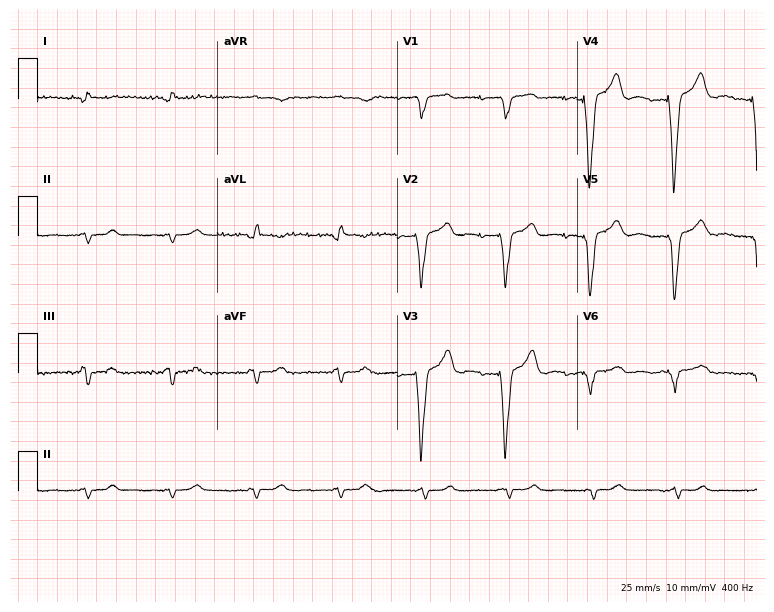
12-lead ECG (7.3-second recording at 400 Hz) from a 77-year-old female patient. Screened for six findings — first-degree AV block, right bundle branch block, left bundle branch block, sinus bradycardia, atrial fibrillation, sinus tachycardia — none is recorded. Only these six findings were labelled.